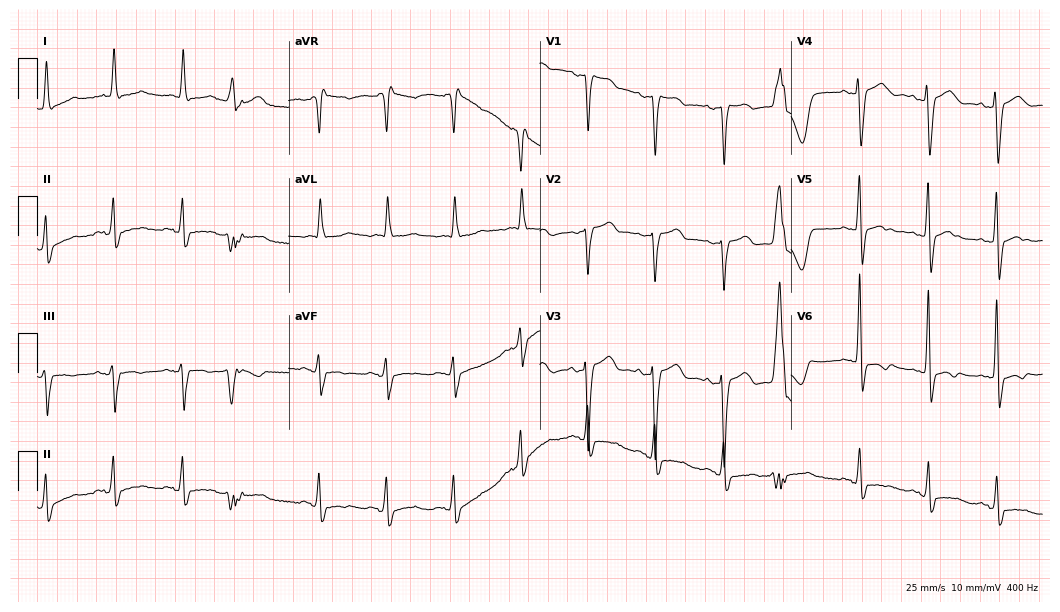
Resting 12-lead electrocardiogram (10.2-second recording at 400 Hz). Patient: a female, 80 years old. None of these six findings is recorded: first-degree AV block, right bundle branch block, left bundle branch block, sinus bradycardia, atrial fibrillation, sinus tachycardia. Only these six findings were labelled.